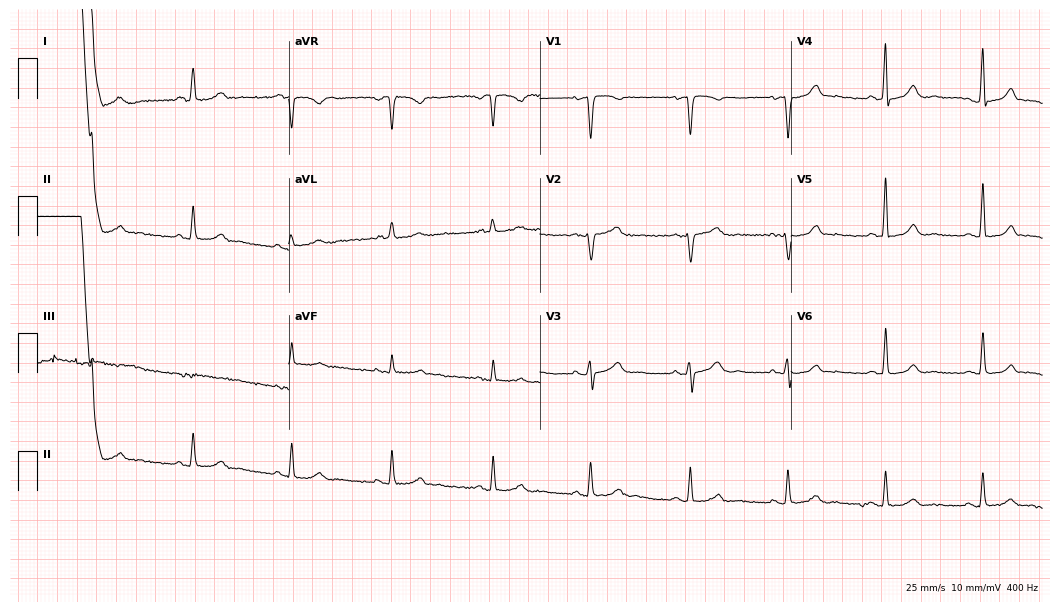
Electrocardiogram, a 45-year-old female. Overall reading on record: normal ECG.